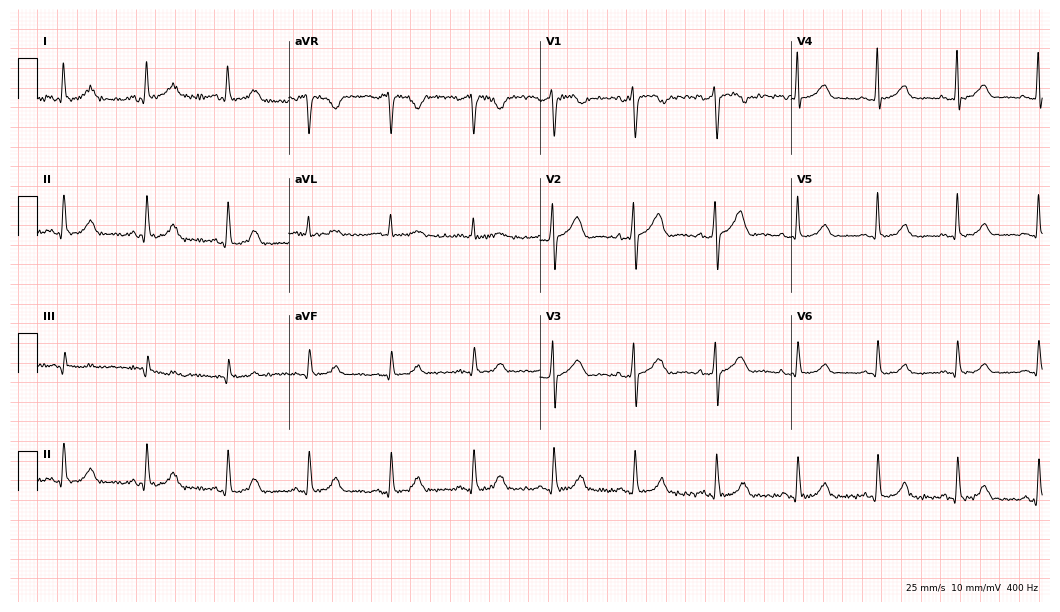
Resting 12-lead electrocardiogram (10.2-second recording at 400 Hz). Patient: a woman, 50 years old. Read as a normal ECG.